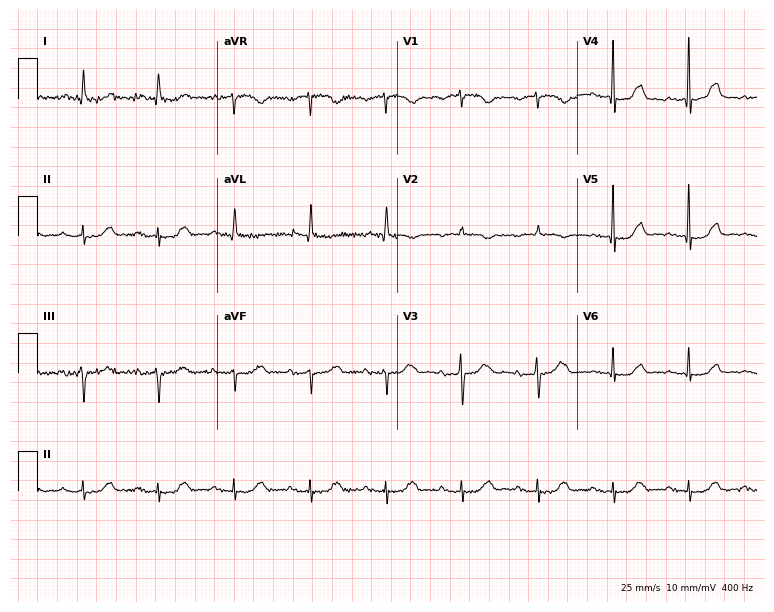
Standard 12-lead ECG recorded from a woman, 84 years old (7.3-second recording at 400 Hz). The tracing shows first-degree AV block.